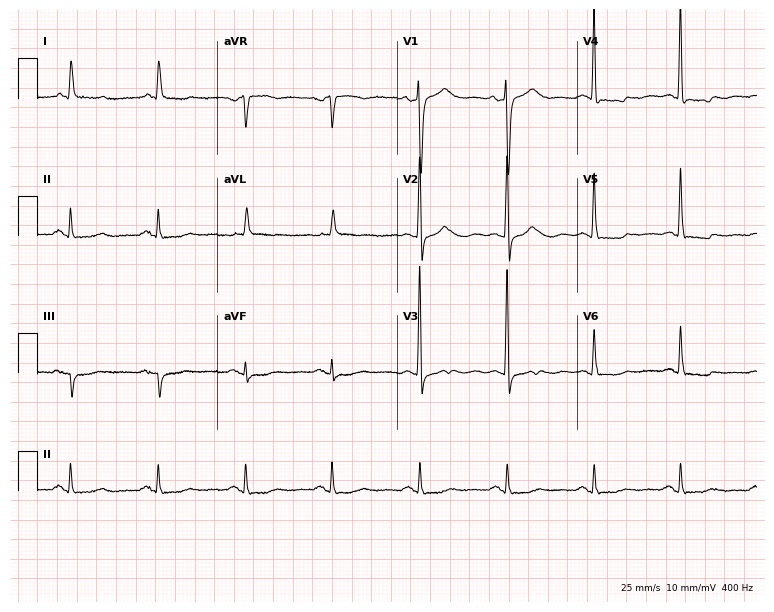
Standard 12-lead ECG recorded from an 83-year-old female patient (7.3-second recording at 400 Hz). None of these six findings is recorded: first-degree AV block, right bundle branch block (RBBB), left bundle branch block (LBBB), sinus bradycardia, atrial fibrillation (AF), sinus tachycardia. Only these six findings were labelled.